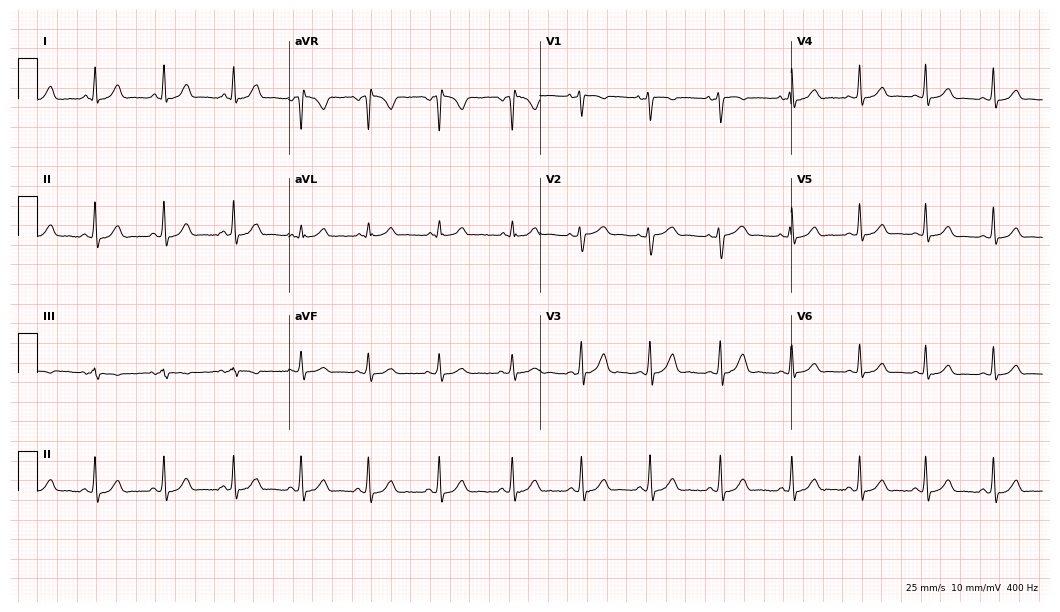
12-lead ECG from a 23-year-old woman (10.2-second recording at 400 Hz). No first-degree AV block, right bundle branch block, left bundle branch block, sinus bradycardia, atrial fibrillation or sinus tachycardia recorded for this tracing.